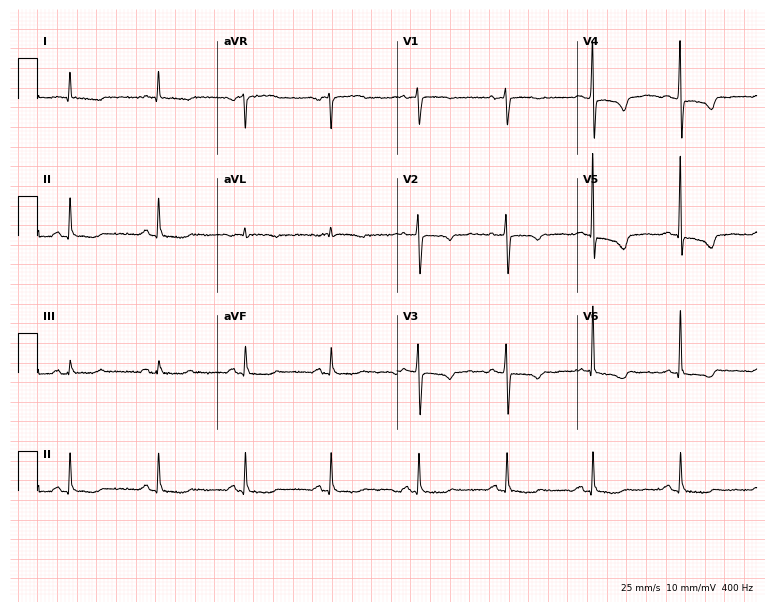
Resting 12-lead electrocardiogram (7.3-second recording at 400 Hz). Patient: a female, 74 years old. None of these six findings is recorded: first-degree AV block, right bundle branch block, left bundle branch block, sinus bradycardia, atrial fibrillation, sinus tachycardia.